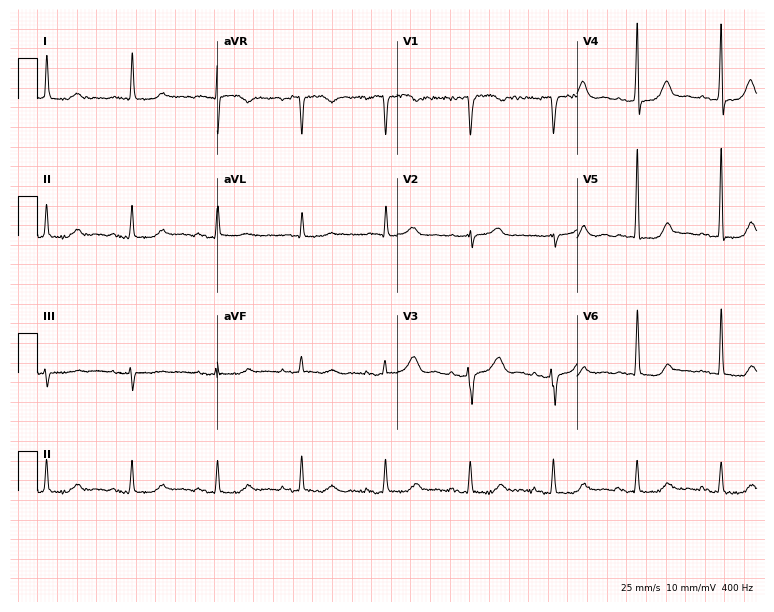
Resting 12-lead electrocardiogram. Patient: a female, 83 years old. None of these six findings is recorded: first-degree AV block, right bundle branch block, left bundle branch block, sinus bradycardia, atrial fibrillation, sinus tachycardia.